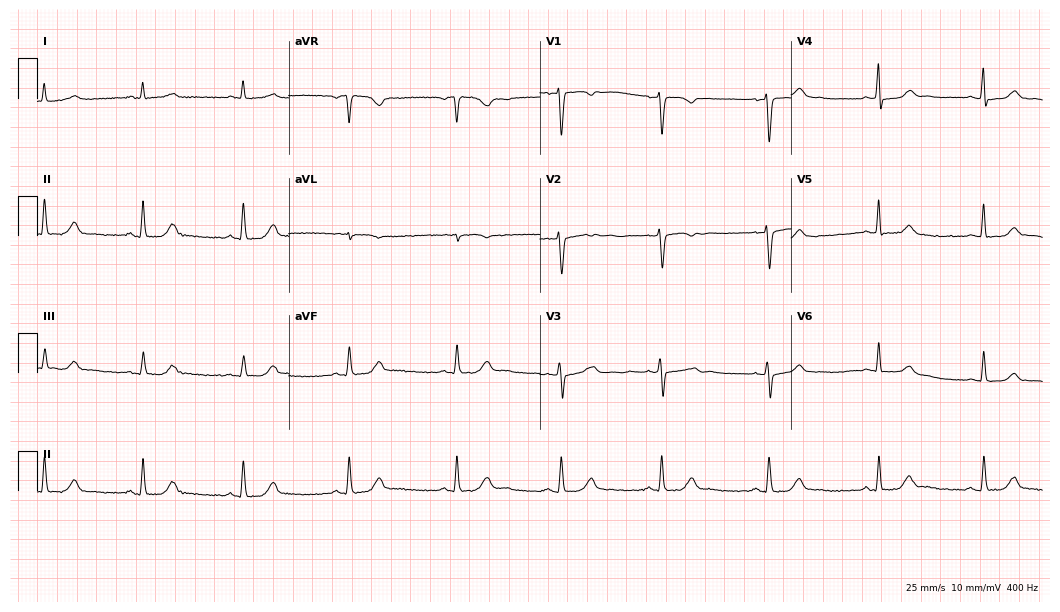
Standard 12-lead ECG recorded from a female patient, 42 years old (10.2-second recording at 400 Hz). None of these six findings is recorded: first-degree AV block, right bundle branch block (RBBB), left bundle branch block (LBBB), sinus bradycardia, atrial fibrillation (AF), sinus tachycardia.